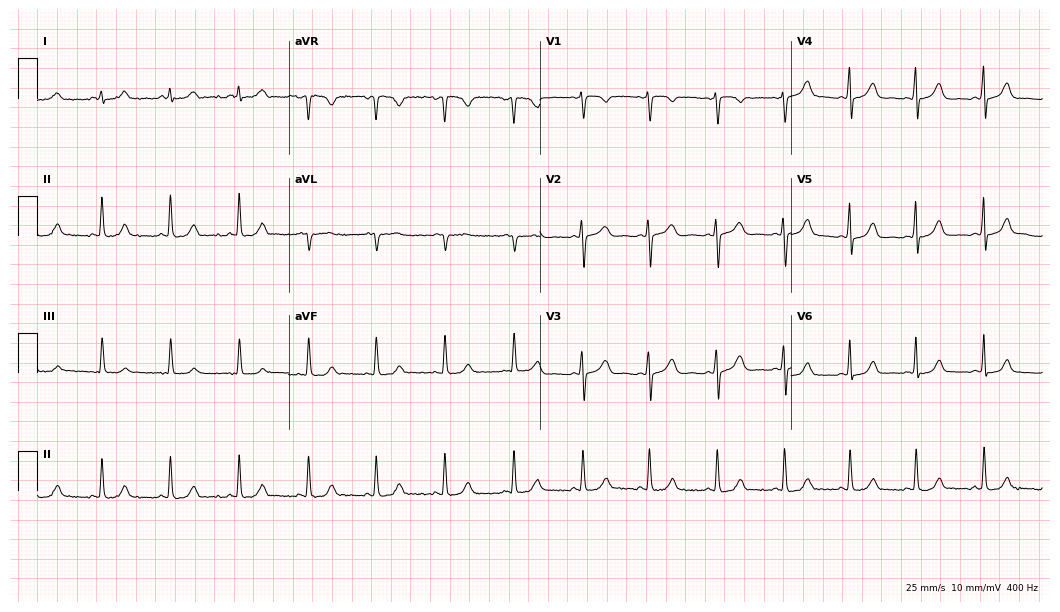
Electrocardiogram (10.2-second recording at 400 Hz), a 28-year-old woman. Overall reading on record: normal ECG.